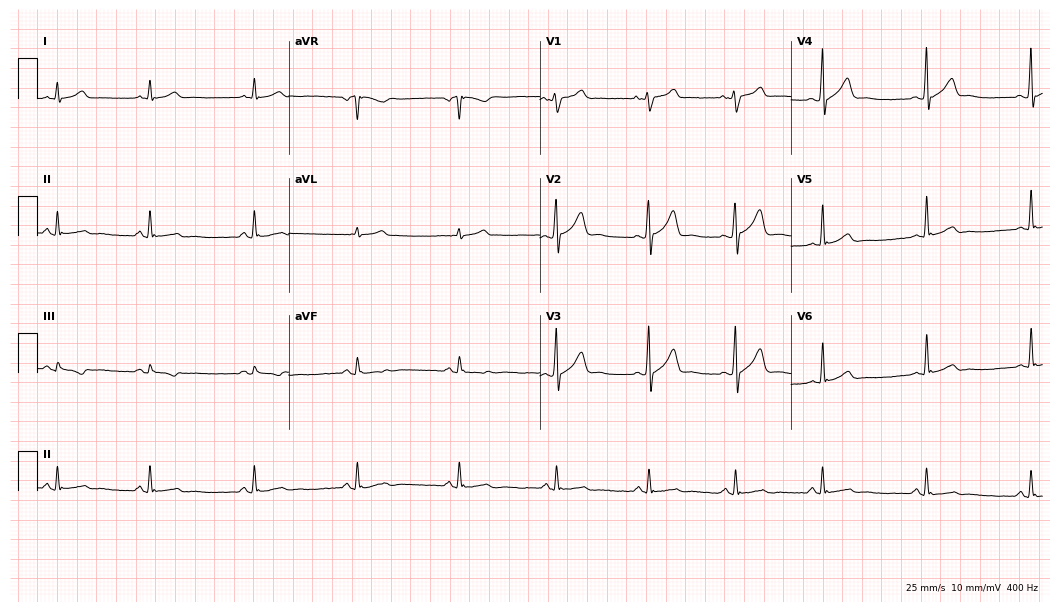
12-lead ECG from a man, 27 years old. Recorded interpretation: within normal limits.